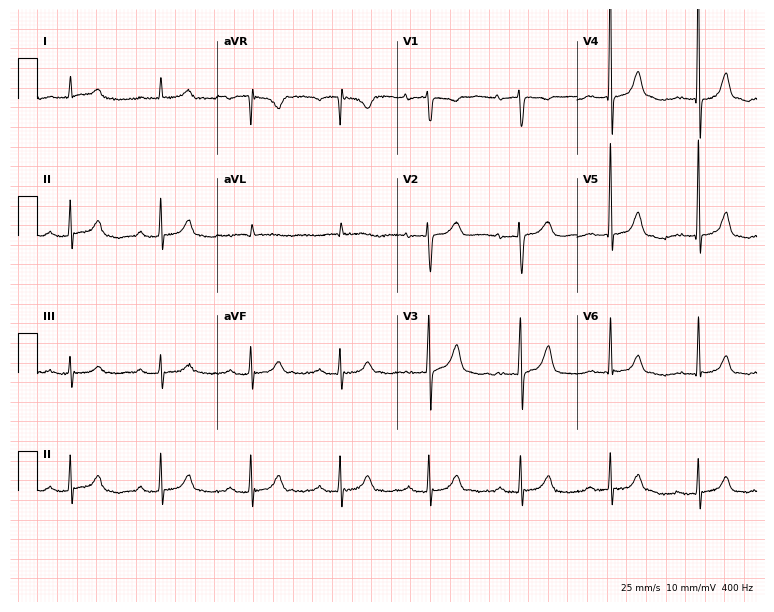
12-lead ECG from a female, 82 years old. Shows first-degree AV block.